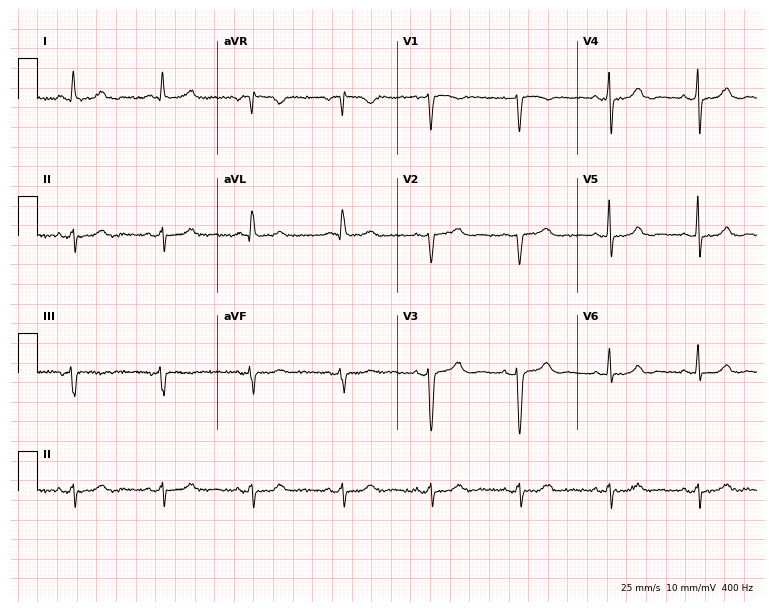
ECG — a female, 59 years old. Screened for six findings — first-degree AV block, right bundle branch block, left bundle branch block, sinus bradycardia, atrial fibrillation, sinus tachycardia — none is recorded. Findings outside these six are not listed.